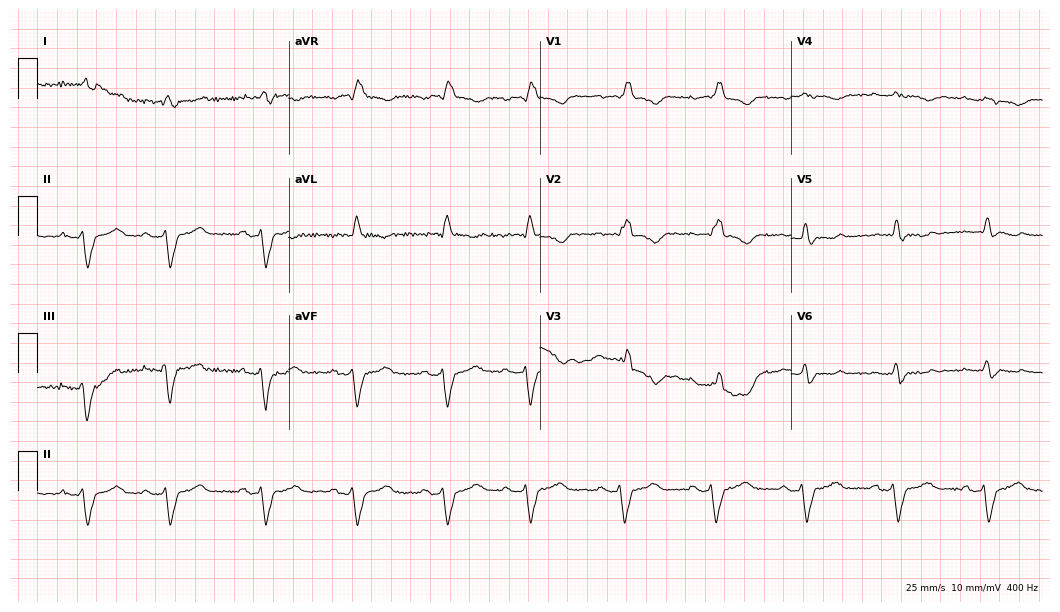
Resting 12-lead electrocardiogram (10.2-second recording at 400 Hz). Patient: a woman, 76 years old. The tracing shows right bundle branch block.